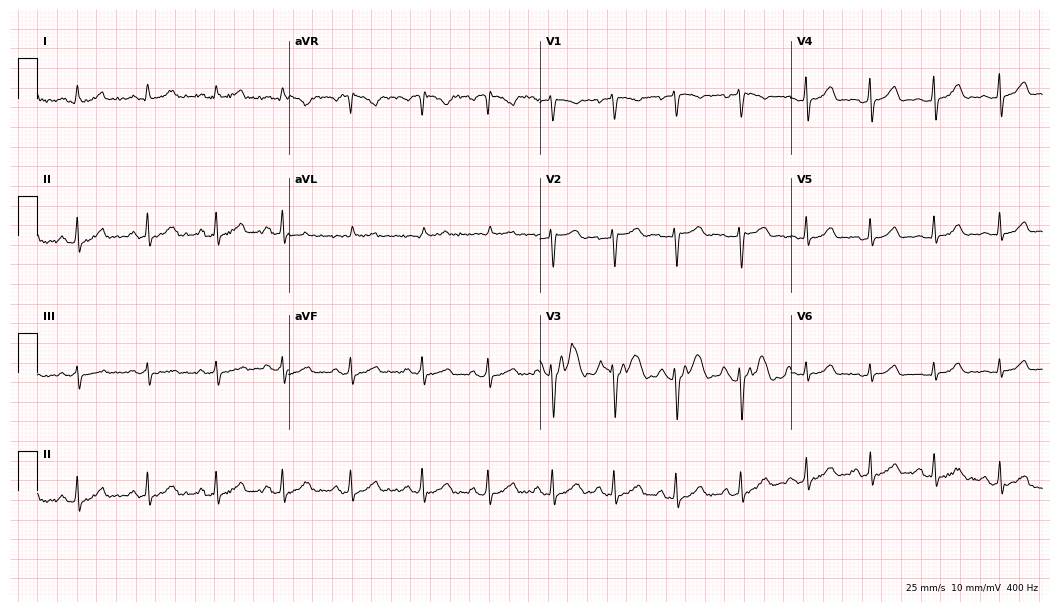
Electrocardiogram, a 32-year-old woman. Of the six screened findings (first-degree AV block, right bundle branch block (RBBB), left bundle branch block (LBBB), sinus bradycardia, atrial fibrillation (AF), sinus tachycardia), none is recorded.